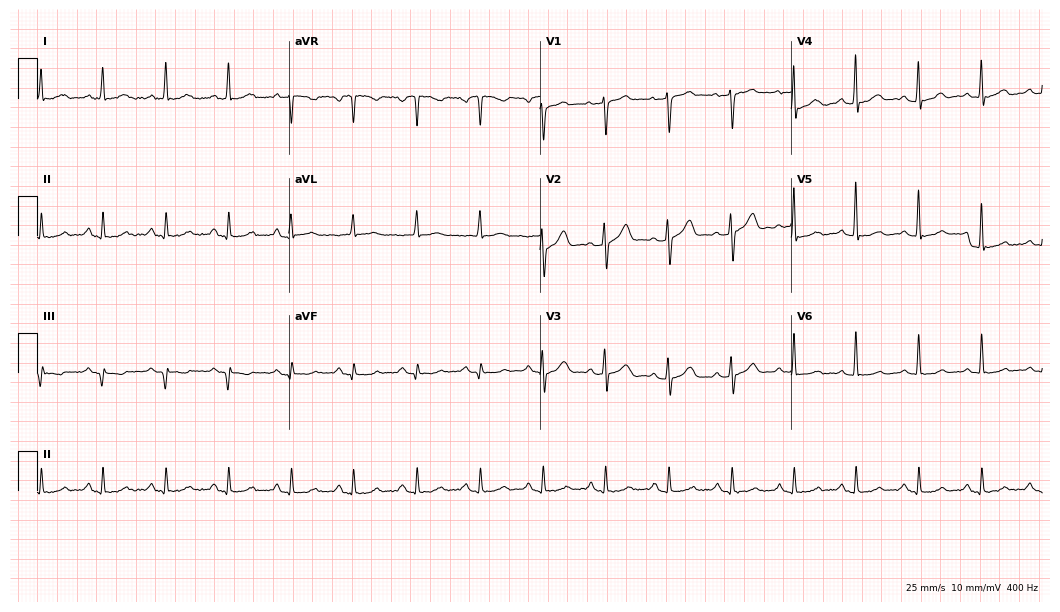
12-lead ECG from a 64-year-old male (10.2-second recording at 400 Hz). Recorded interpretation: within normal limits.